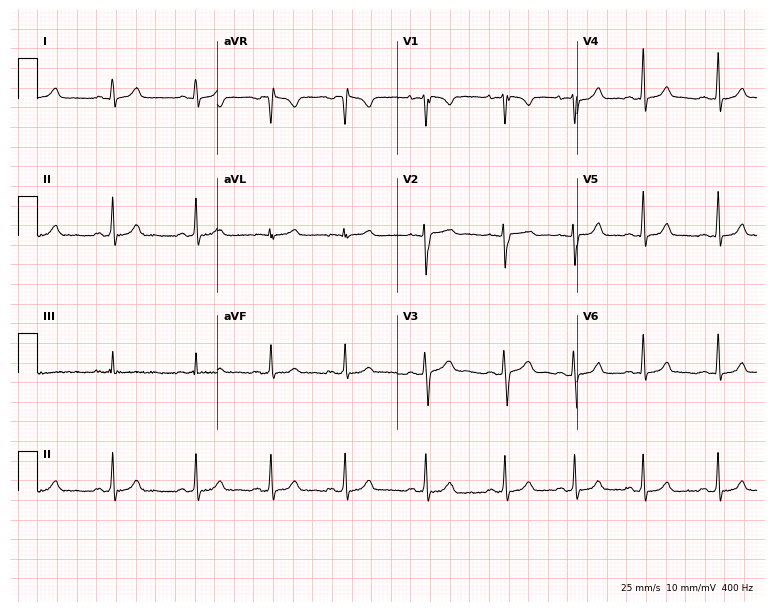
Standard 12-lead ECG recorded from a female, 19 years old. Read as a normal ECG.